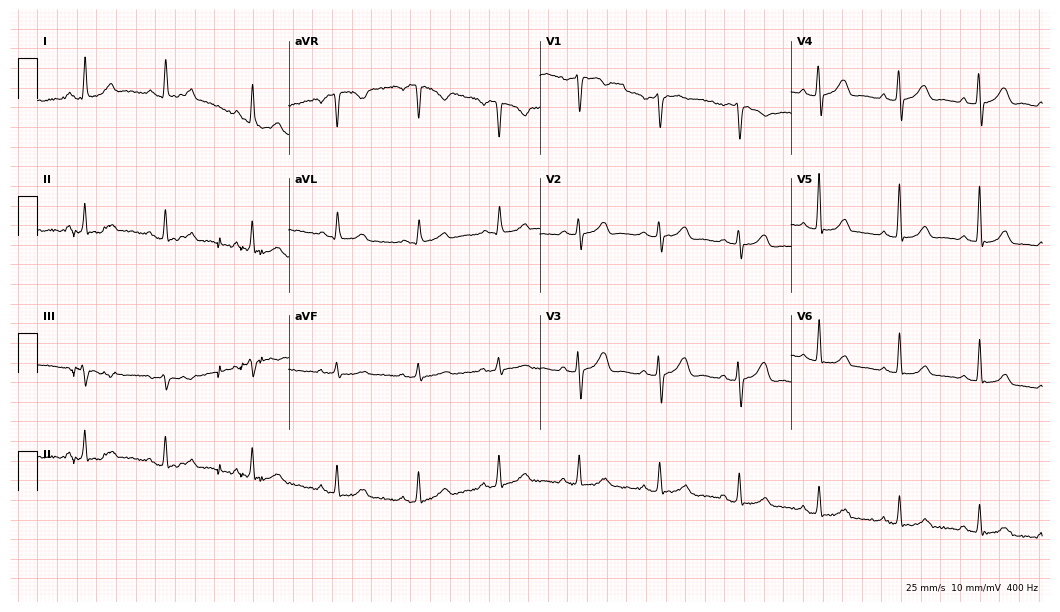
12-lead ECG from a 51-year-old female patient. No first-degree AV block, right bundle branch block, left bundle branch block, sinus bradycardia, atrial fibrillation or sinus tachycardia recorded for this tracing.